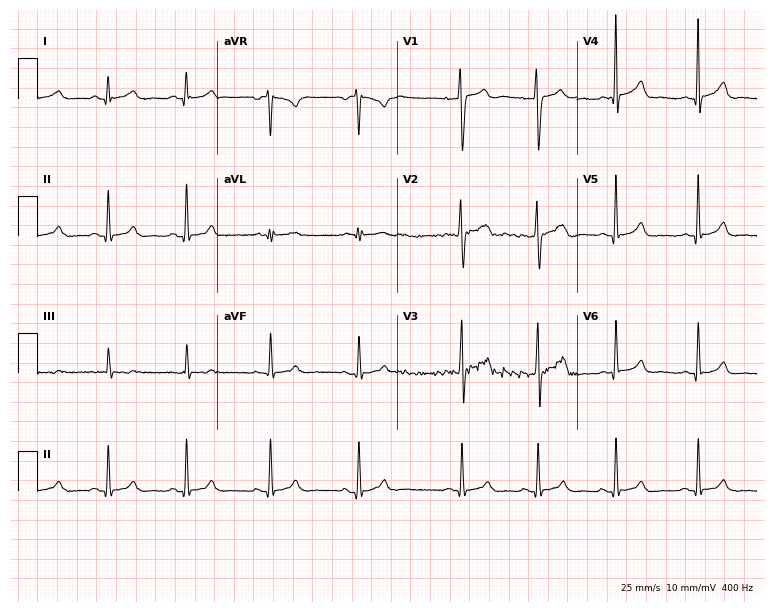
Electrocardiogram (7.3-second recording at 400 Hz), a male, 23 years old. Overall reading on record: normal ECG.